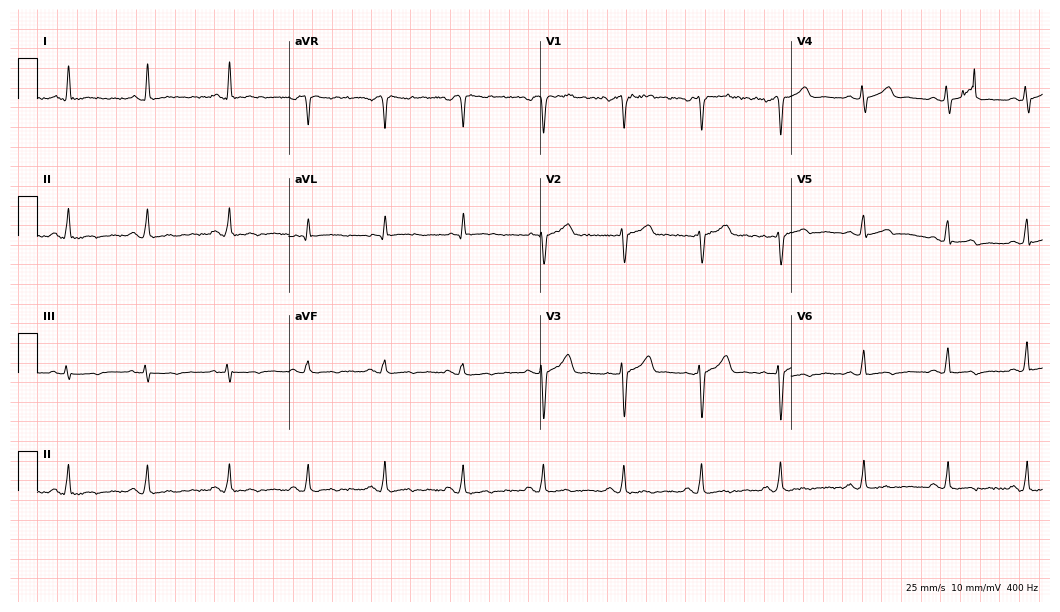
ECG — a 49-year-old man. Screened for six findings — first-degree AV block, right bundle branch block (RBBB), left bundle branch block (LBBB), sinus bradycardia, atrial fibrillation (AF), sinus tachycardia — none is recorded.